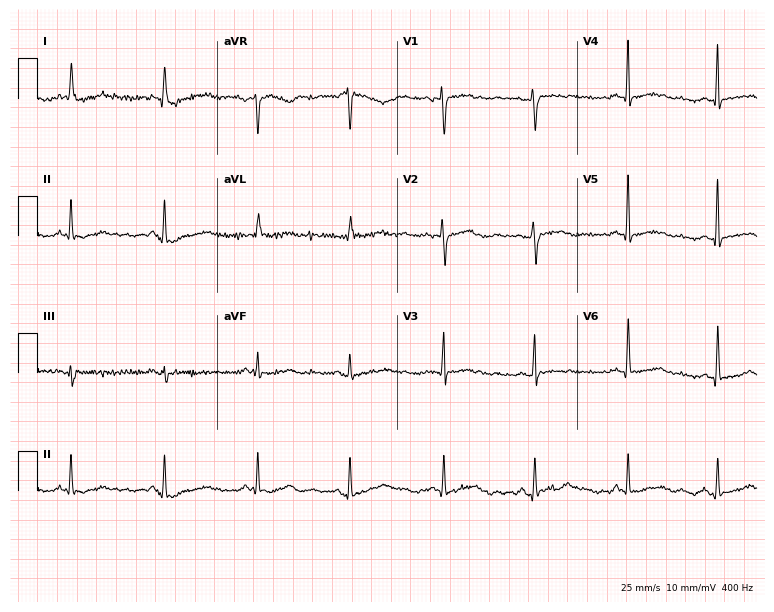
ECG — a woman, 40 years old. Screened for six findings — first-degree AV block, right bundle branch block (RBBB), left bundle branch block (LBBB), sinus bradycardia, atrial fibrillation (AF), sinus tachycardia — none is recorded.